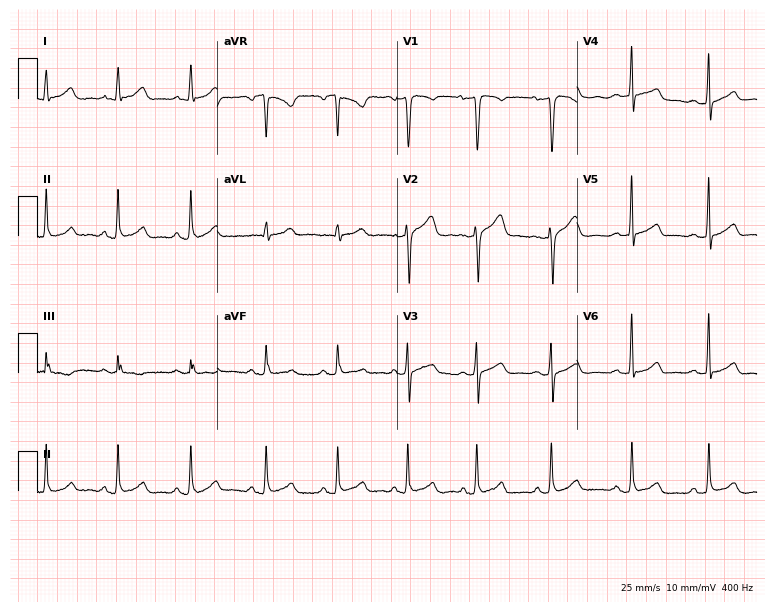
Resting 12-lead electrocardiogram (7.3-second recording at 400 Hz). Patient: a 43-year-old female. Read as a normal ECG.